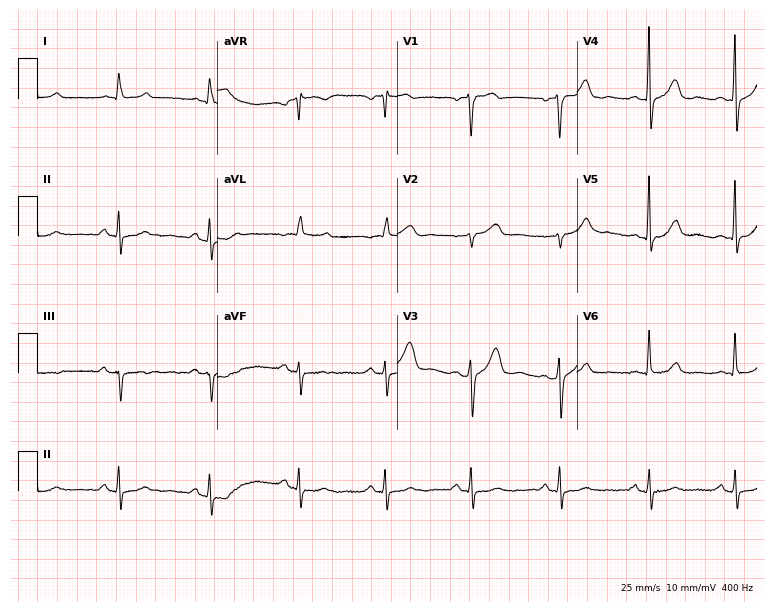
Electrocardiogram (7.3-second recording at 400 Hz), a 59-year-old man. Overall reading on record: normal ECG.